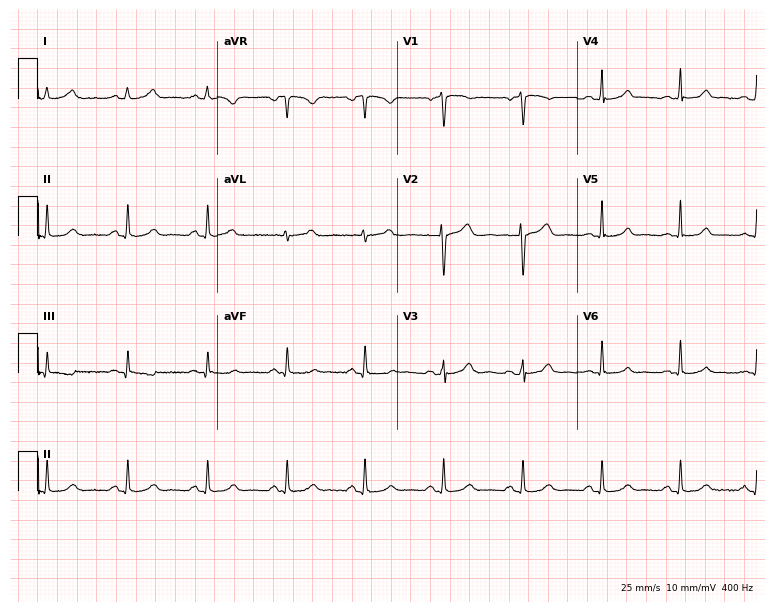
Resting 12-lead electrocardiogram (7.3-second recording at 400 Hz). Patient: a female, 45 years old. Read as a normal ECG.